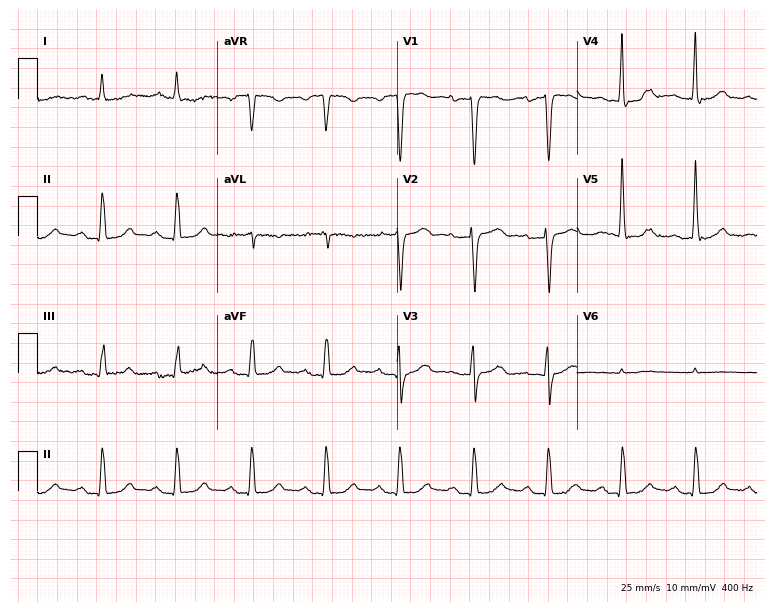
12-lead ECG from an 81-year-old male (7.3-second recording at 400 Hz). No first-degree AV block, right bundle branch block, left bundle branch block, sinus bradycardia, atrial fibrillation or sinus tachycardia recorded for this tracing. Only these six findings were labelled.